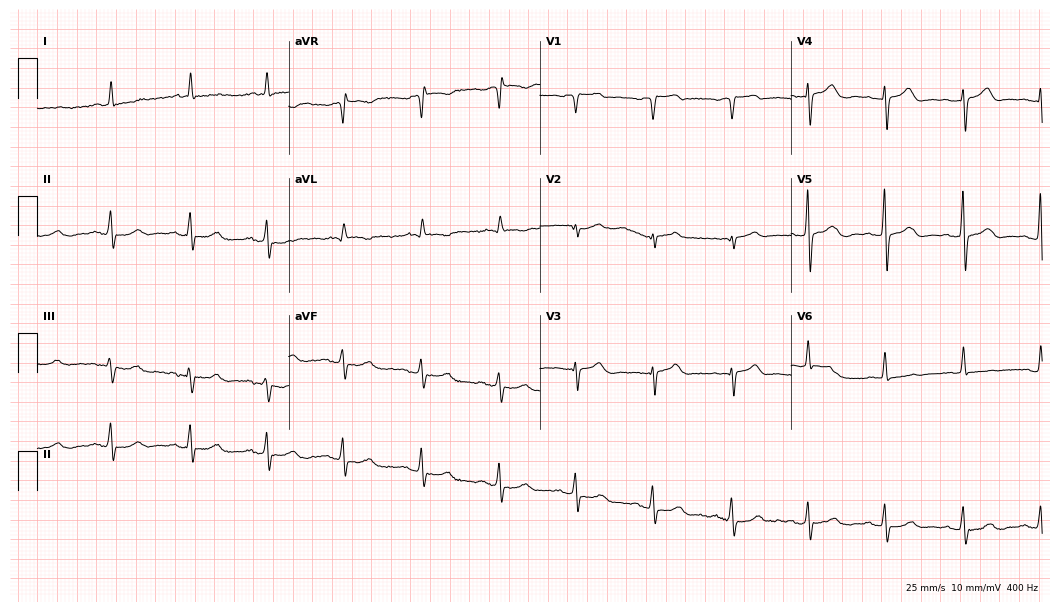
Electrocardiogram, a 76-year-old female. Overall reading on record: normal ECG.